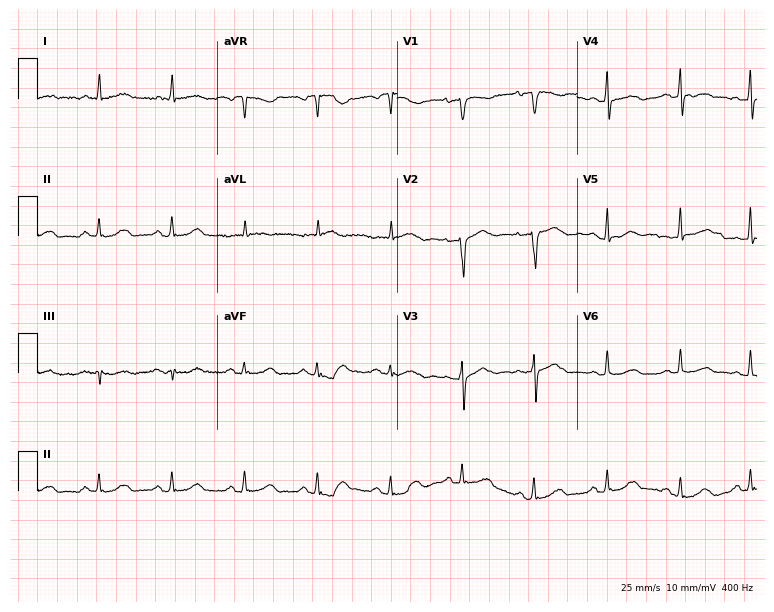
ECG (7.3-second recording at 400 Hz) — a 53-year-old female patient. Screened for six findings — first-degree AV block, right bundle branch block (RBBB), left bundle branch block (LBBB), sinus bradycardia, atrial fibrillation (AF), sinus tachycardia — none is recorded. Only these six findings were labelled.